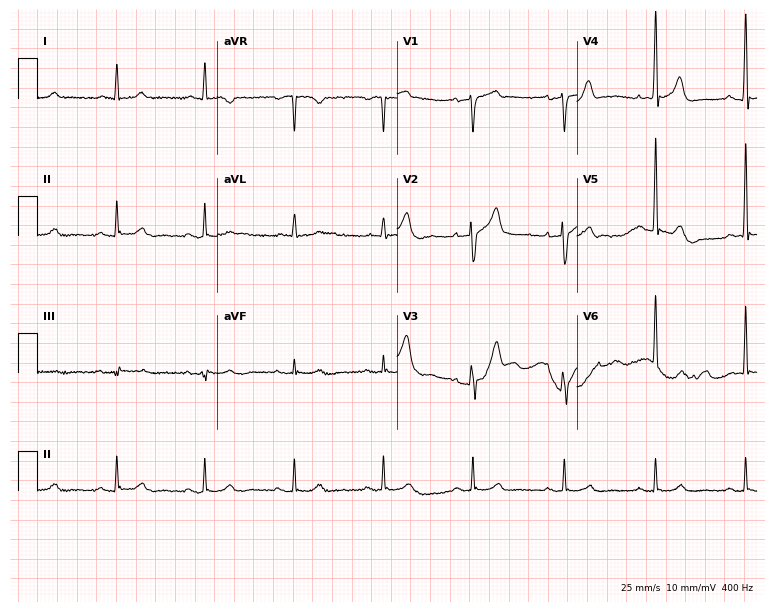
12-lead ECG from a man, 80 years old. Labelled as a normal ECG.